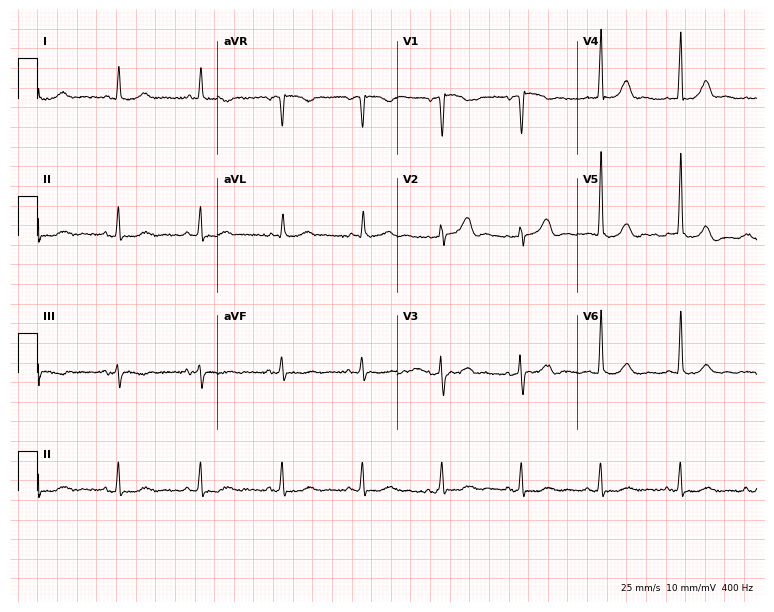
12-lead ECG from a 61-year-old man. No first-degree AV block, right bundle branch block, left bundle branch block, sinus bradycardia, atrial fibrillation or sinus tachycardia recorded for this tracing. Other findings, if any, are not listed.